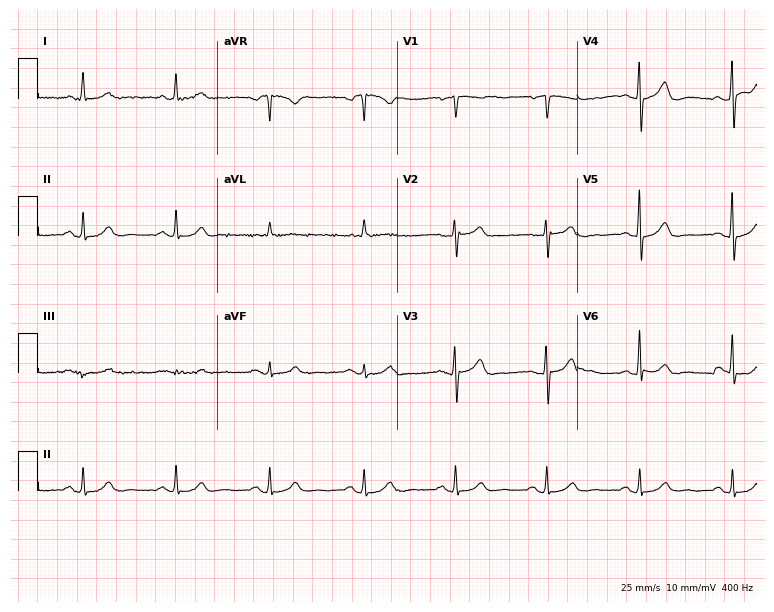
Resting 12-lead electrocardiogram (7.3-second recording at 400 Hz). Patient: a male, 71 years old. Read as a normal ECG.